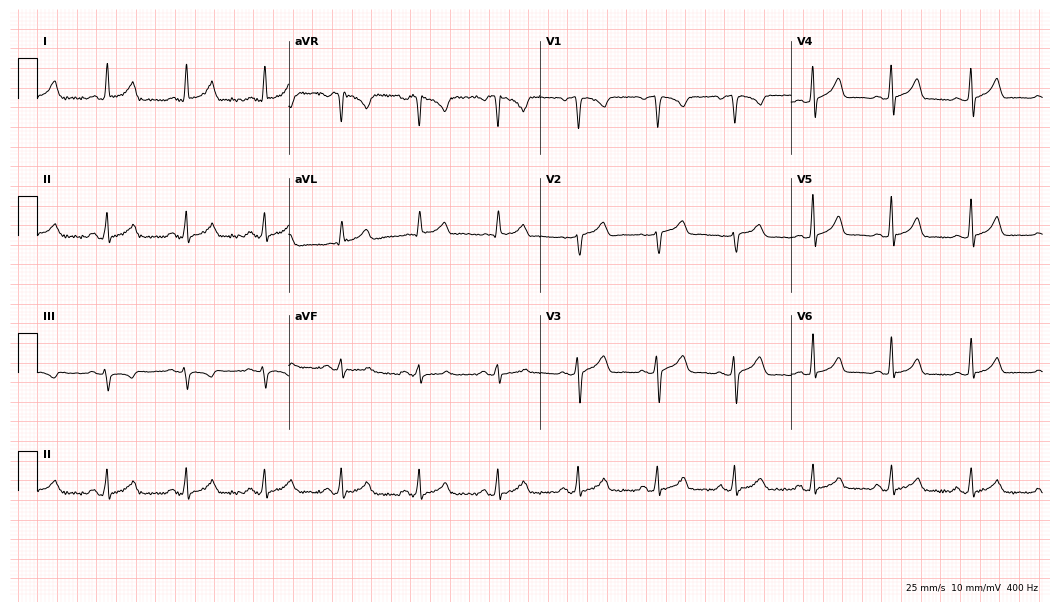
ECG (10.2-second recording at 400 Hz) — a woman, 58 years old. Labelled as a normal ECG.